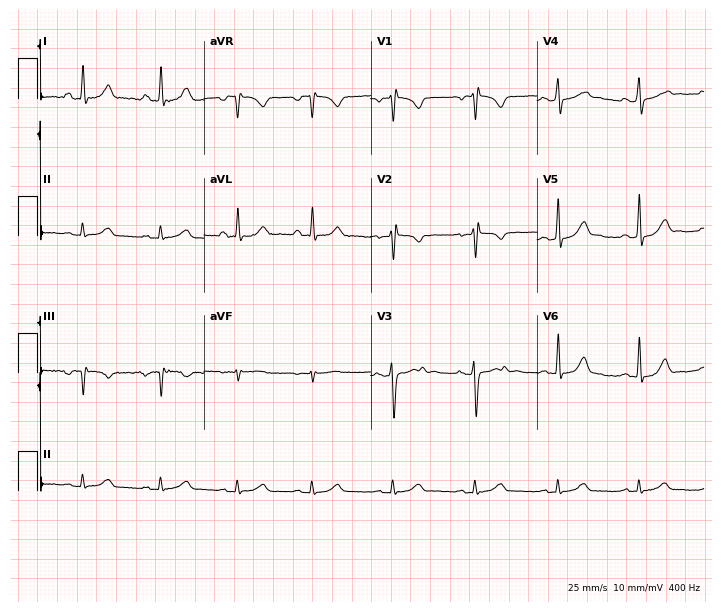
12-lead ECG (6.8-second recording at 400 Hz) from a woman, 22 years old. Screened for six findings — first-degree AV block, right bundle branch block, left bundle branch block, sinus bradycardia, atrial fibrillation, sinus tachycardia — none is recorded. Only these six findings were labelled.